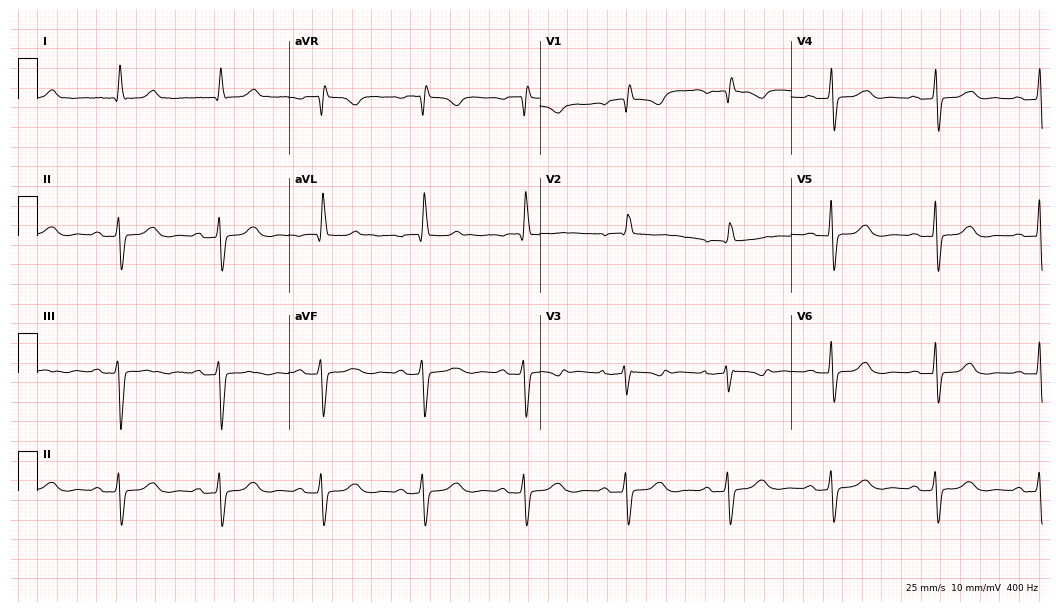
12-lead ECG from a female, 82 years old (10.2-second recording at 400 Hz). Shows first-degree AV block, right bundle branch block (RBBB).